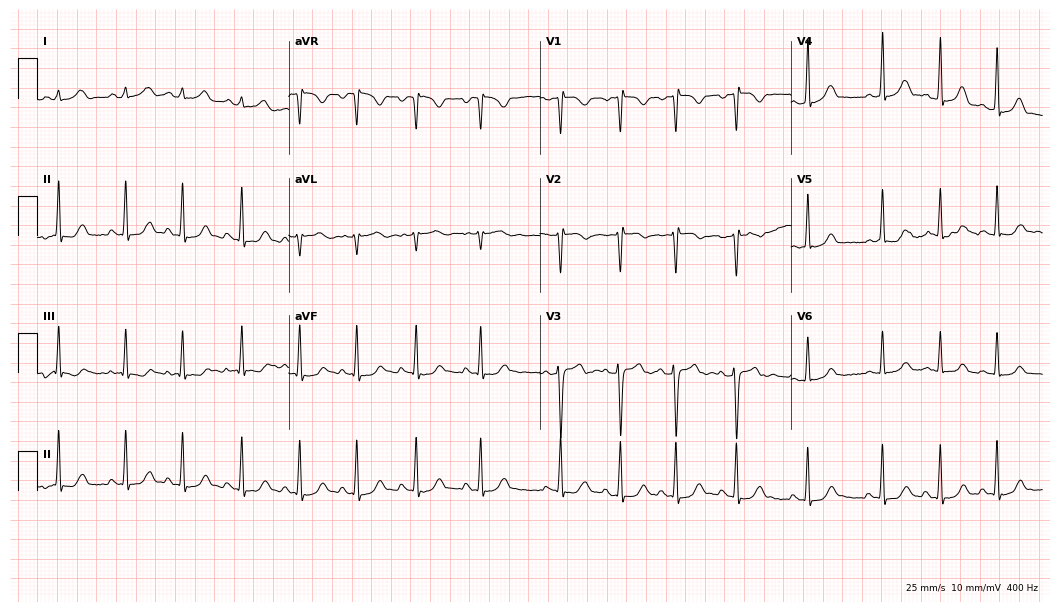
12-lead ECG from a 17-year-old female patient. No first-degree AV block, right bundle branch block (RBBB), left bundle branch block (LBBB), sinus bradycardia, atrial fibrillation (AF) or sinus tachycardia recorded for this tracing.